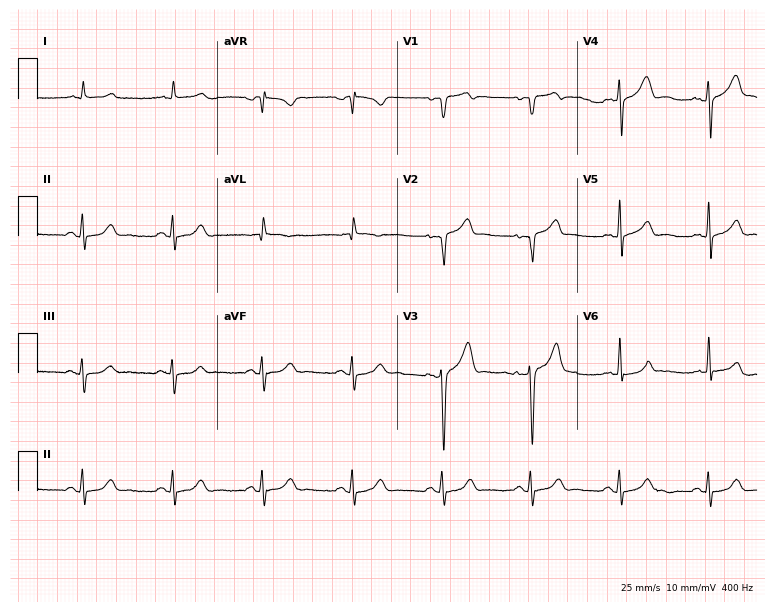
12-lead ECG from a 68-year-old male (7.3-second recording at 400 Hz). No first-degree AV block, right bundle branch block, left bundle branch block, sinus bradycardia, atrial fibrillation or sinus tachycardia recorded for this tracing. Other findings, if any, are not listed.